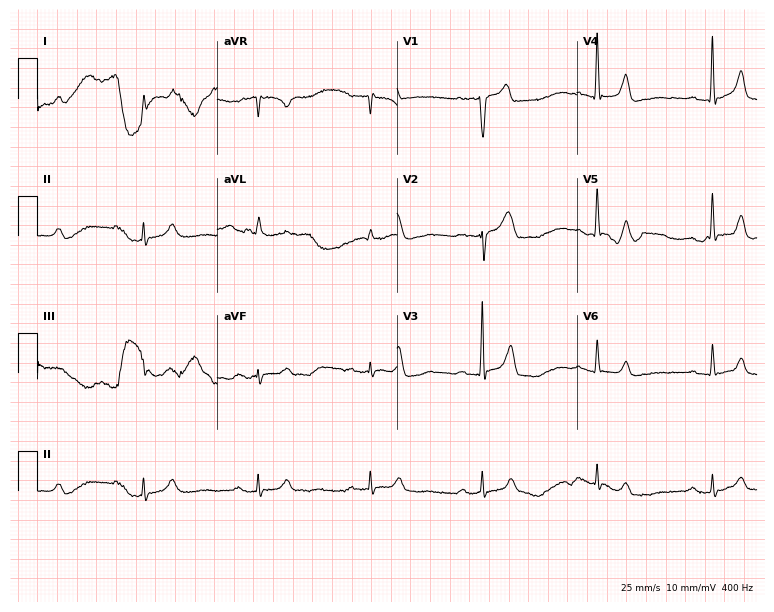
ECG (7.3-second recording at 400 Hz) — a 76-year-old male. Findings include first-degree AV block.